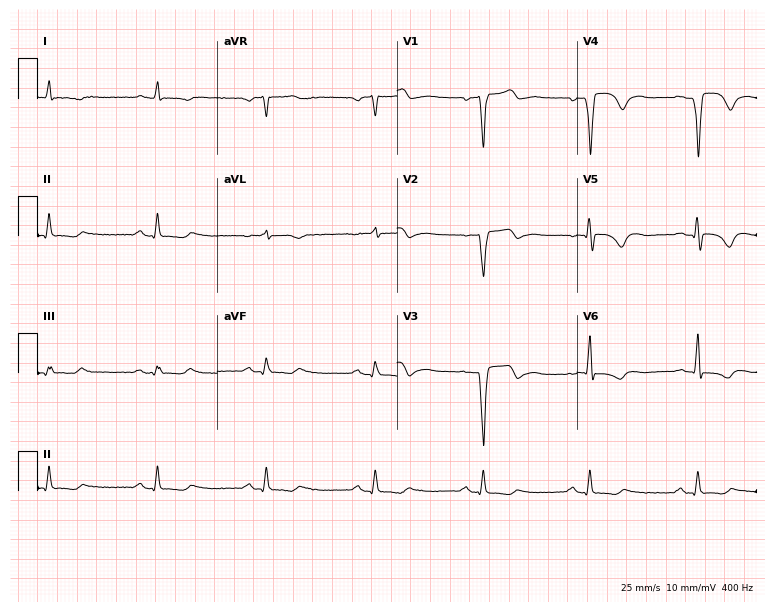
12-lead ECG from a male patient, 64 years old. Screened for six findings — first-degree AV block, right bundle branch block, left bundle branch block, sinus bradycardia, atrial fibrillation, sinus tachycardia — none is recorded. Only these six findings were labelled.